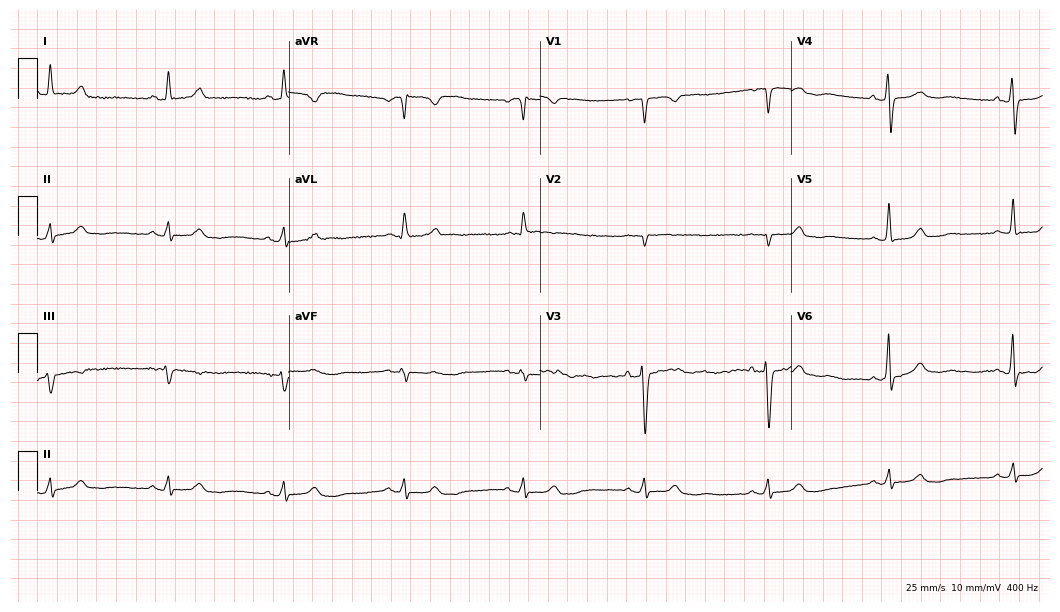
12-lead ECG from a 56-year-old female patient. Labelled as a normal ECG.